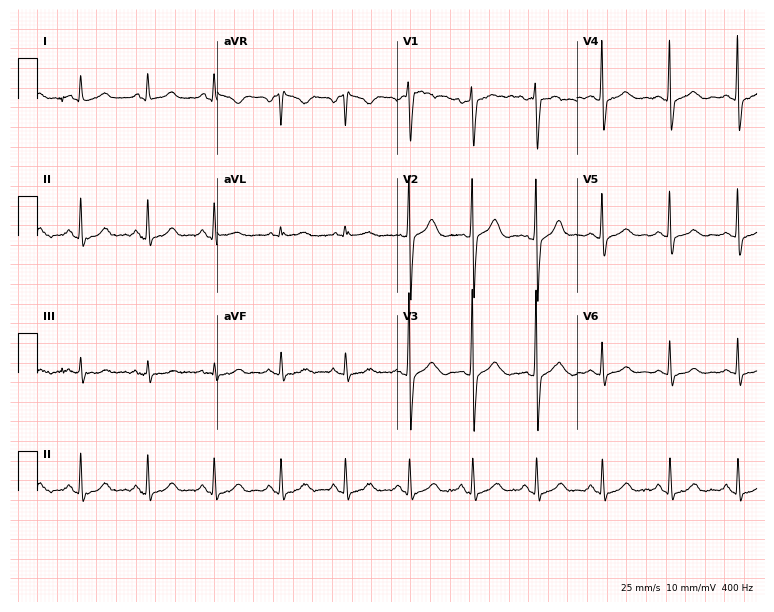
12-lead ECG (7.3-second recording at 400 Hz) from a 47-year-old woman. Screened for six findings — first-degree AV block, right bundle branch block, left bundle branch block, sinus bradycardia, atrial fibrillation, sinus tachycardia — none is recorded.